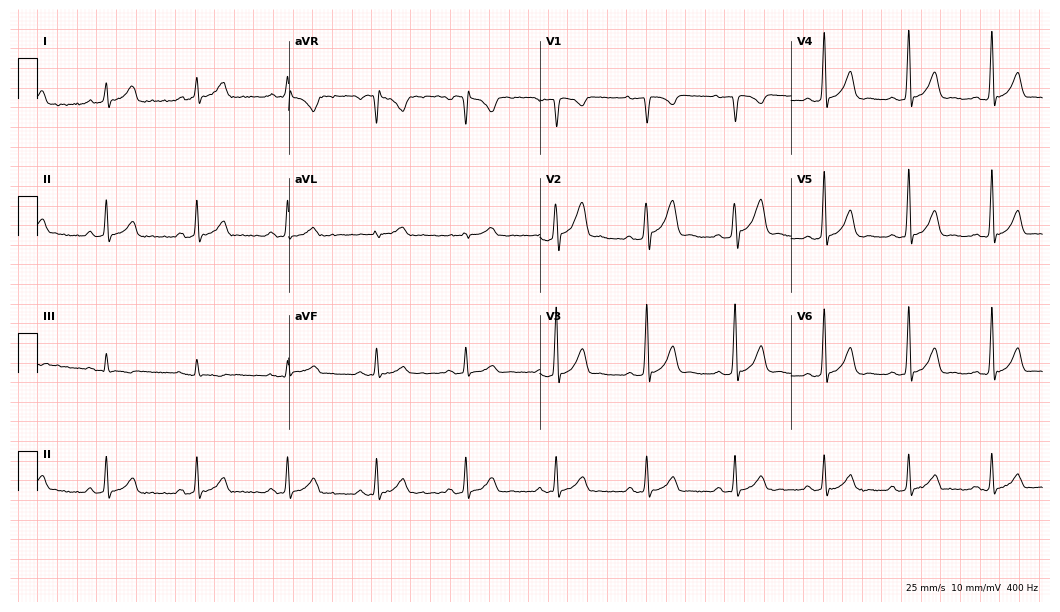
12-lead ECG from a man, 32 years old. Labelled as a normal ECG.